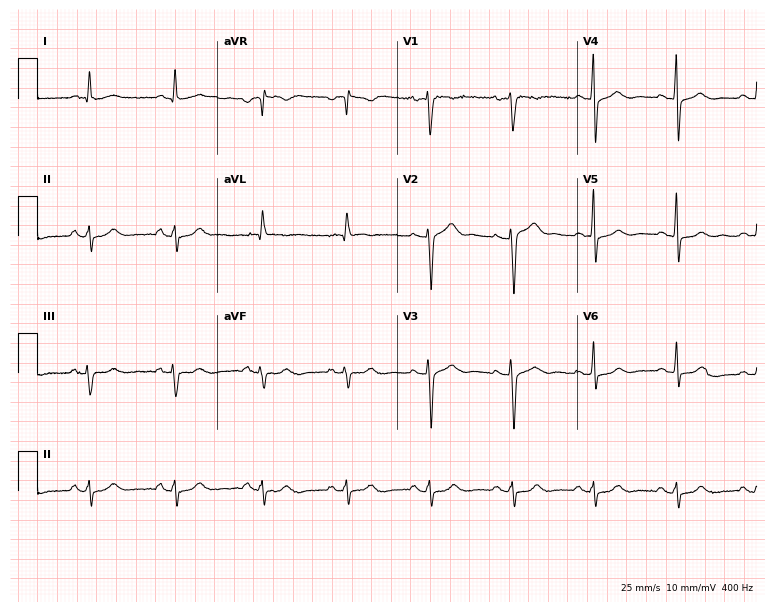
Resting 12-lead electrocardiogram. Patient: a male, 71 years old. None of these six findings is recorded: first-degree AV block, right bundle branch block, left bundle branch block, sinus bradycardia, atrial fibrillation, sinus tachycardia.